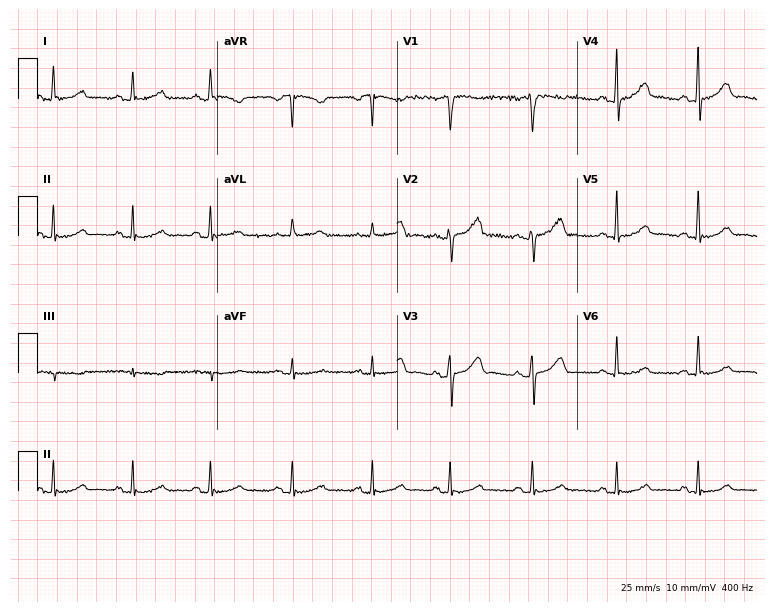
Electrocardiogram, a 48-year-old female. Of the six screened findings (first-degree AV block, right bundle branch block, left bundle branch block, sinus bradycardia, atrial fibrillation, sinus tachycardia), none is recorded.